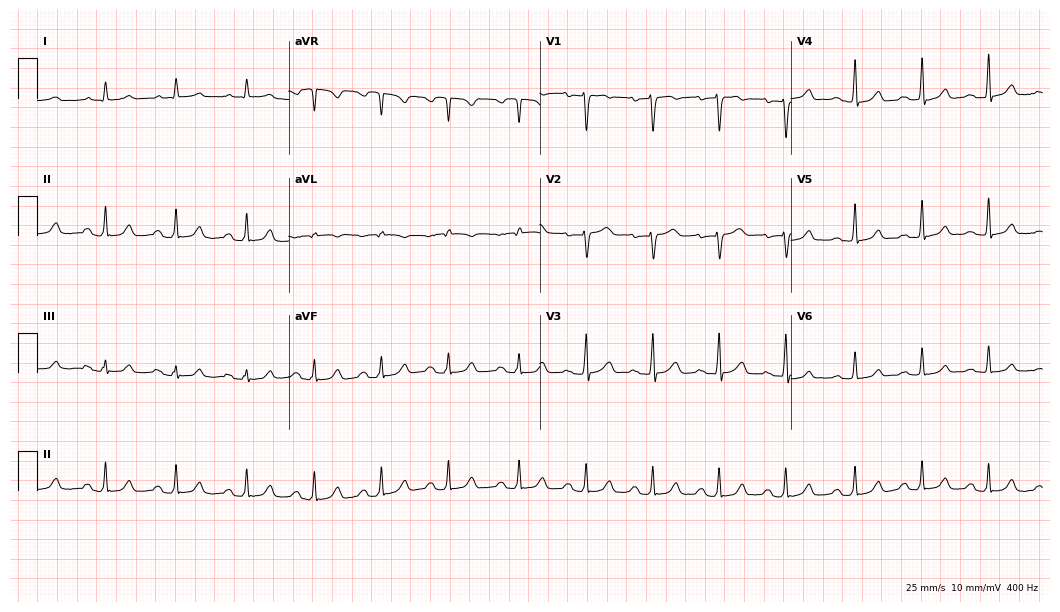
ECG (10.2-second recording at 400 Hz) — a female, 54 years old. Labelled as a normal ECG.